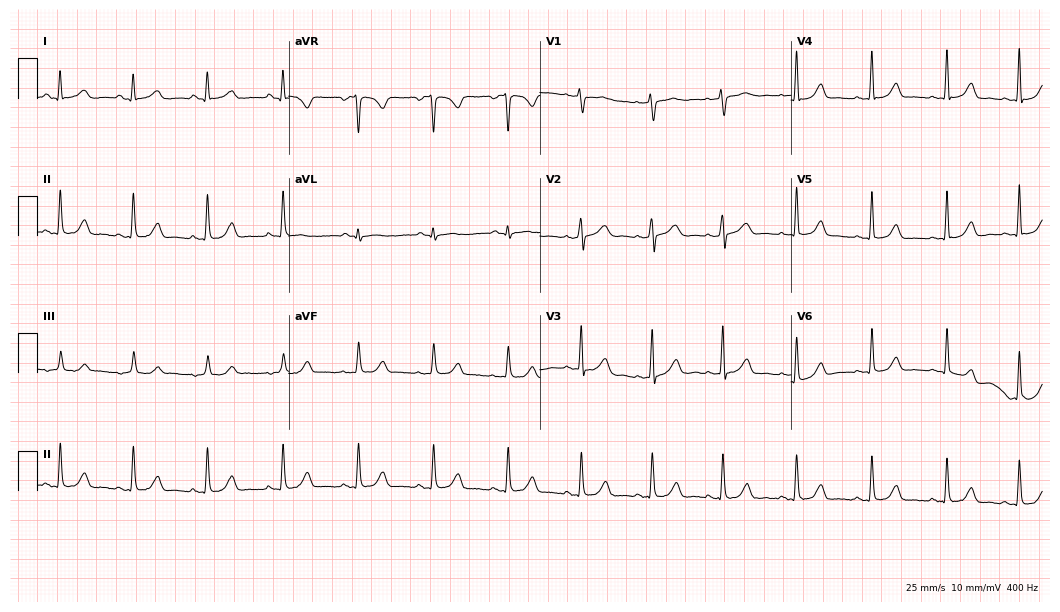
Standard 12-lead ECG recorded from a female patient, 29 years old. Read as a normal ECG.